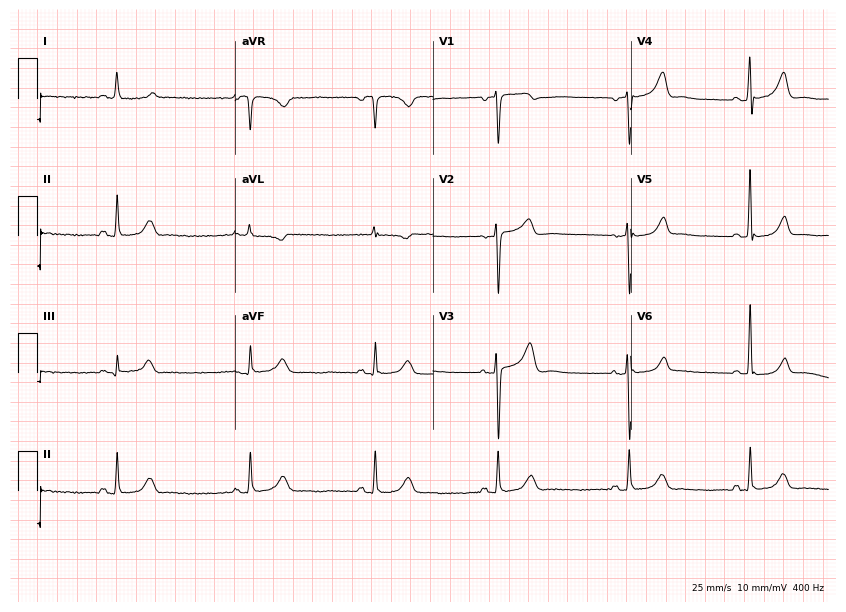
Standard 12-lead ECG recorded from a female, 53 years old. The tracing shows sinus bradycardia (a sinus rate of 50 beats per minute or less).